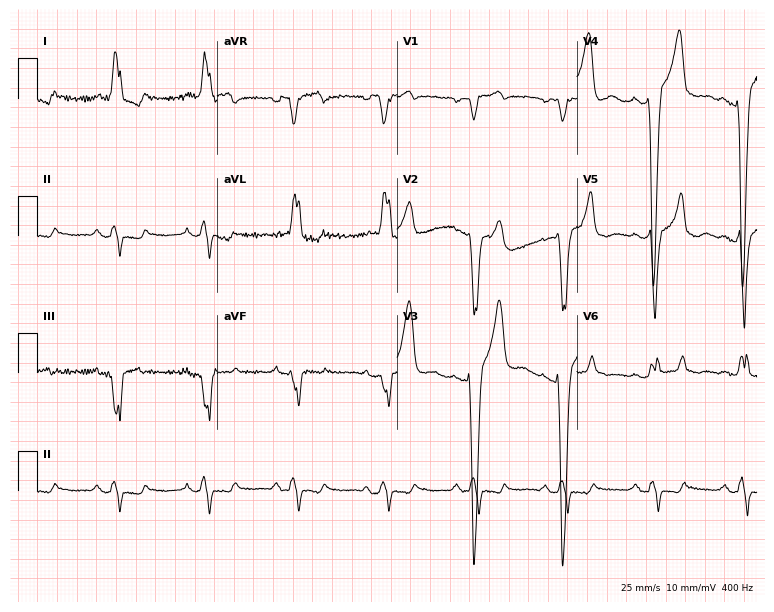
Electrocardiogram (7.3-second recording at 400 Hz), a female, 80 years old. Interpretation includes left bundle branch block (LBBB).